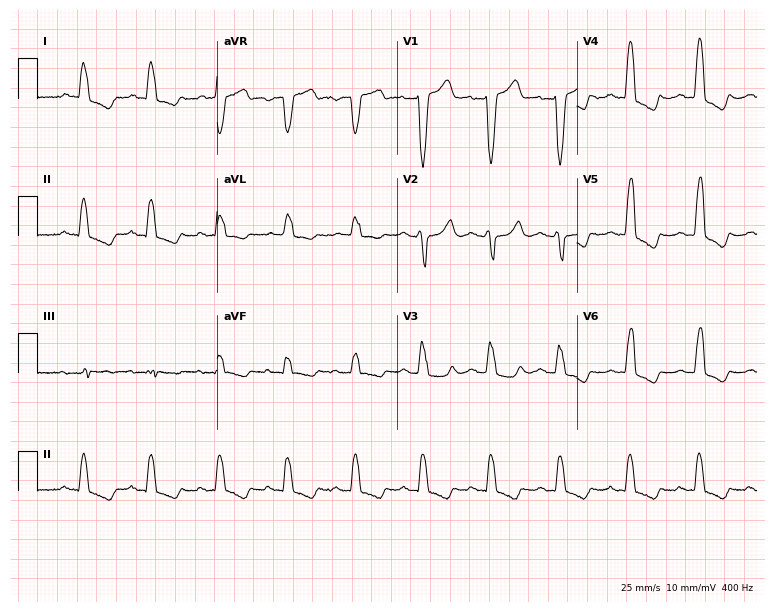
ECG (7.3-second recording at 400 Hz) — a female, 77 years old. Screened for six findings — first-degree AV block, right bundle branch block, left bundle branch block, sinus bradycardia, atrial fibrillation, sinus tachycardia — none is recorded.